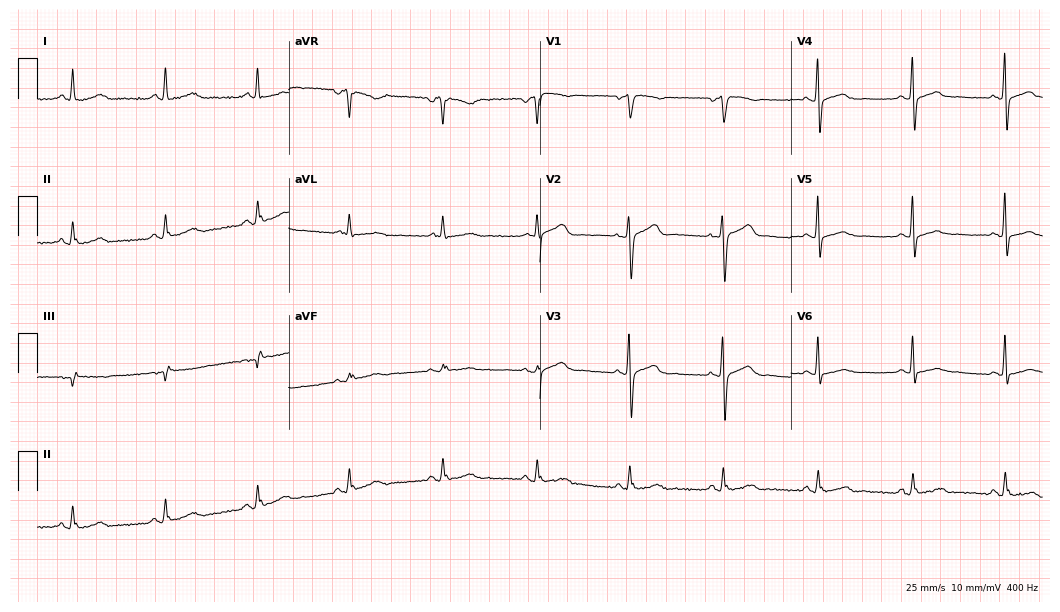
Resting 12-lead electrocardiogram. Patient: a female, 69 years old. Read as a normal ECG.